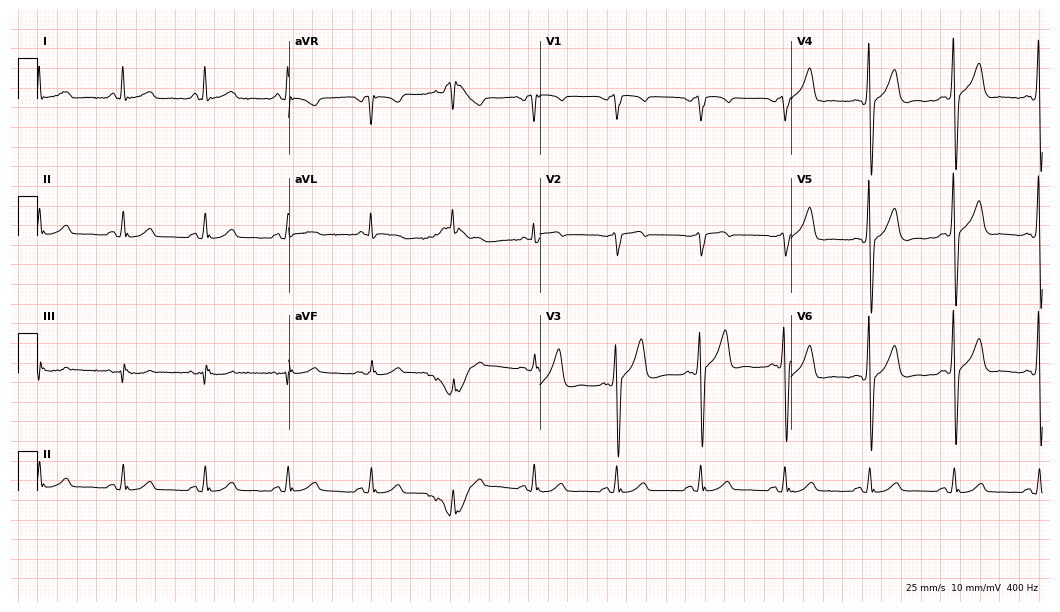
12-lead ECG (10.2-second recording at 400 Hz) from a 58-year-old male patient. Screened for six findings — first-degree AV block, right bundle branch block (RBBB), left bundle branch block (LBBB), sinus bradycardia, atrial fibrillation (AF), sinus tachycardia — none is recorded. Only these six findings were labelled.